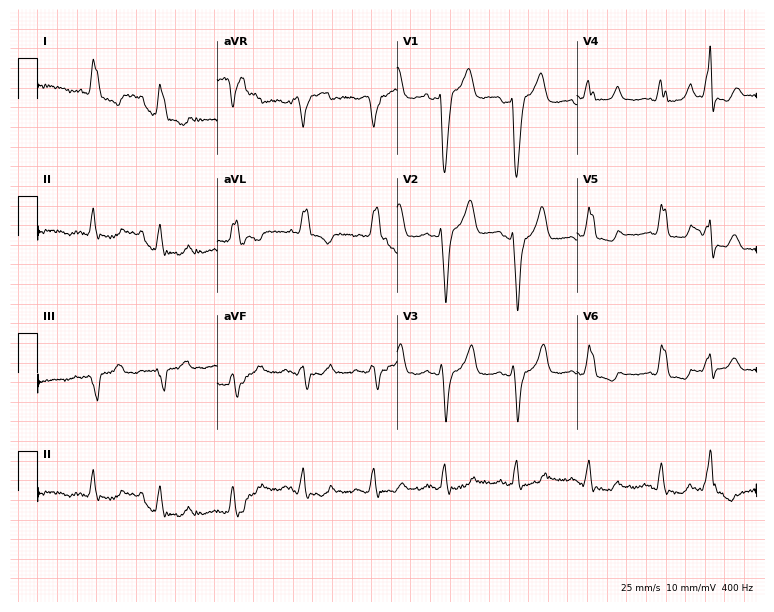
Resting 12-lead electrocardiogram (7.3-second recording at 400 Hz). Patient: a female, 78 years old. The tracing shows left bundle branch block (LBBB).